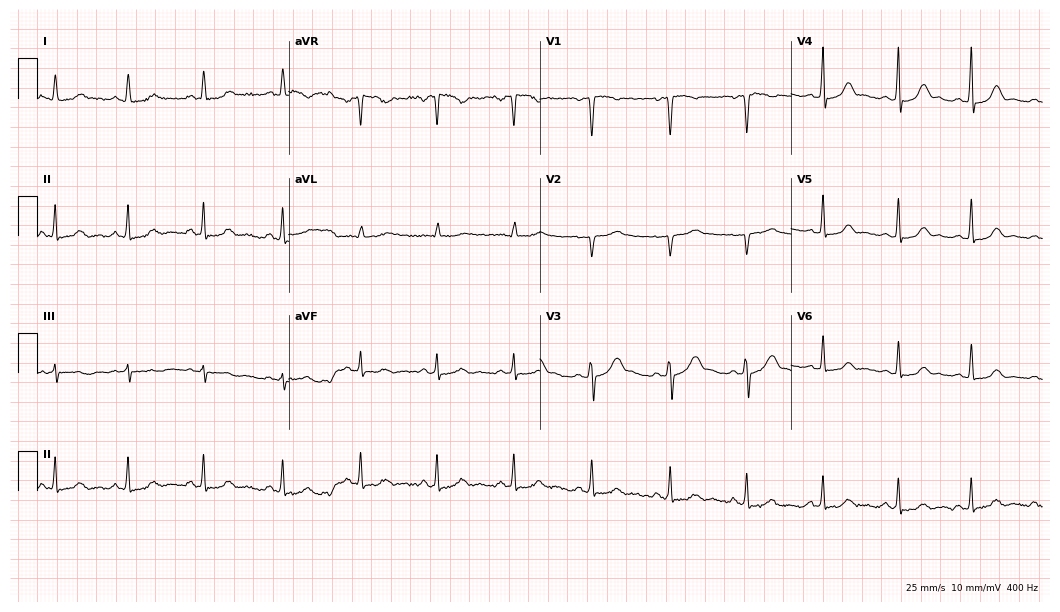
12-lead ECG from a female, 40 years old. Screened for six findings — first-degree AV block, right bundle branch block, left bundle branch block, sinus bradycardia, atrial fibrillation, sinus tachycardia — none is recorded. Other findings, if any, are not listed.